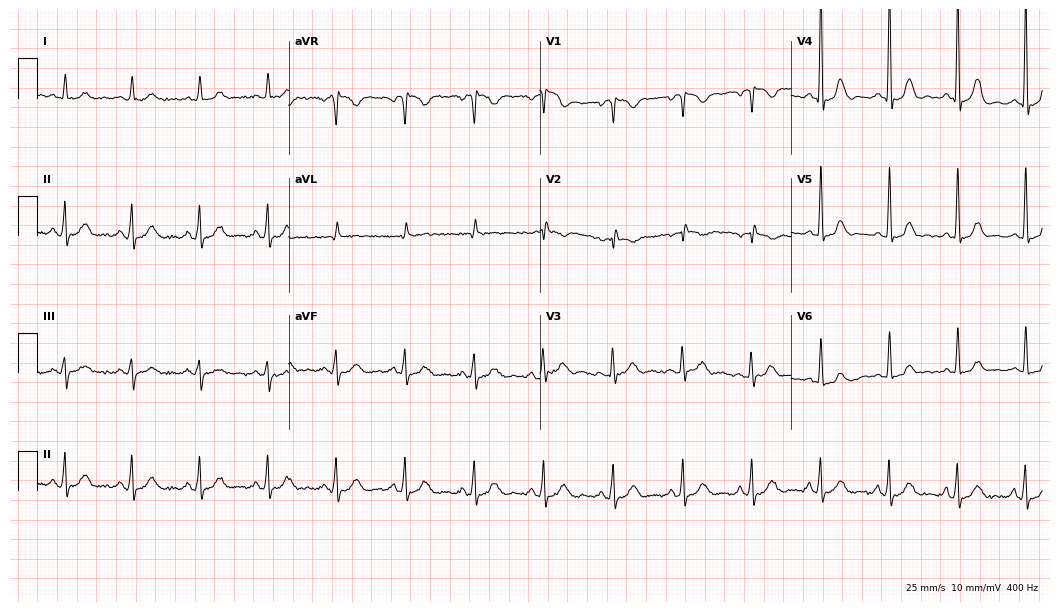
12-lead ECG from a 52-year-old female patient. No first-degree AV block, right bundle branch block (RBBB), left bundle branch block (LBBB), sinus bradycardia, atrial fibrillation (AF) or sinus tachycardia recorded for this tracing.